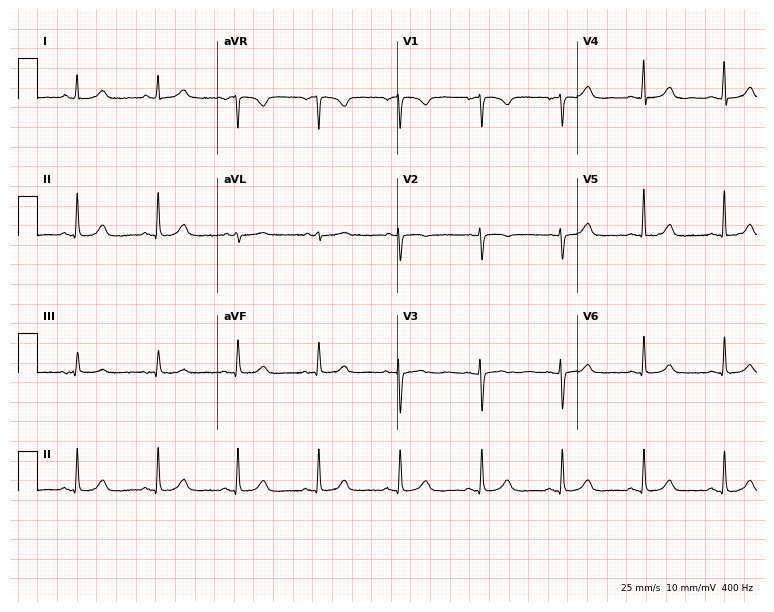
Standard 12-lead ECG recorded from a woman, 46 years old (7.3-second recording at 400 Hz). Read as a normal ECG.